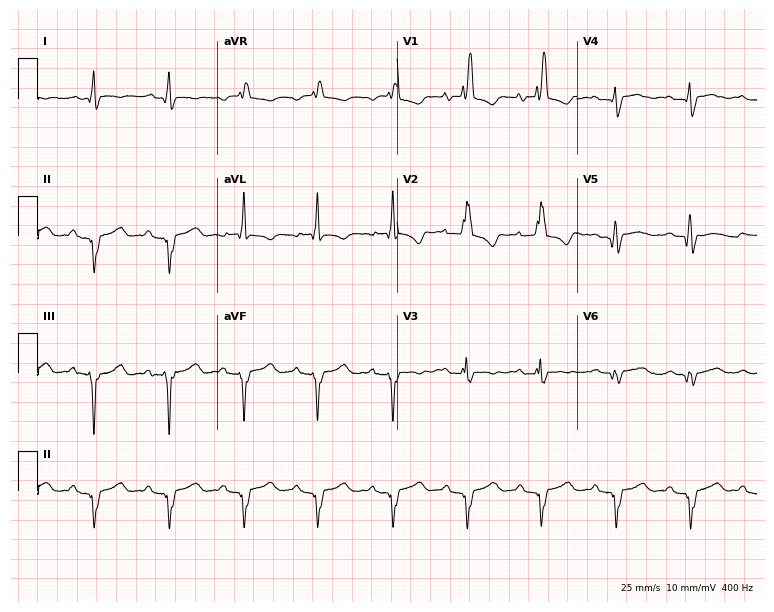
Electrocardiogram (7.3-second recording at 400 Hz), a 53-year-old woman. Interpretation includes right bundle branch block.